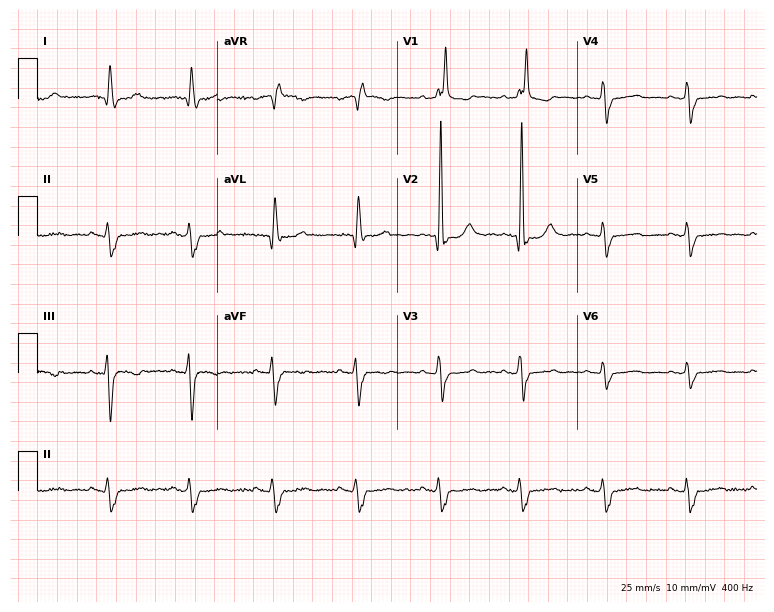
12-lead ECG from an 85-year-old female patient. Shows right bundle branch block (RBBB).